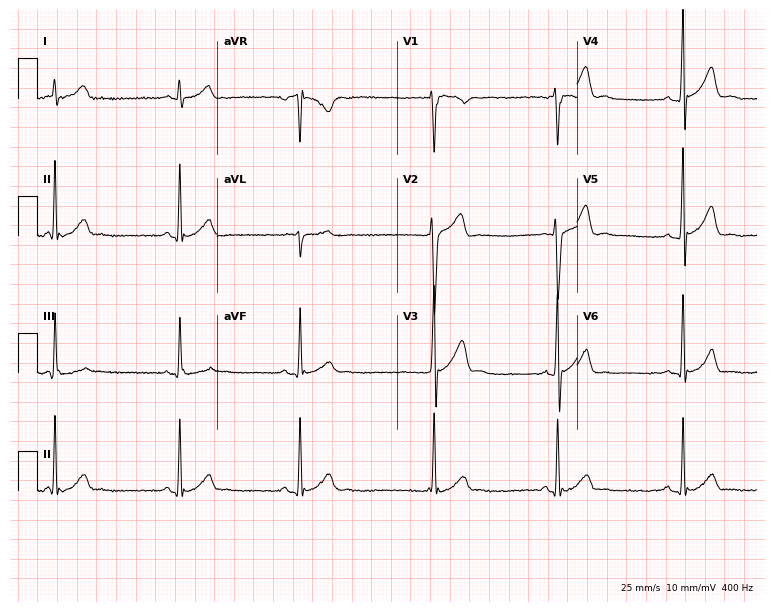
Standard 12-lead ECG recorded from an 18-year-old man. Read as a normal ECG.